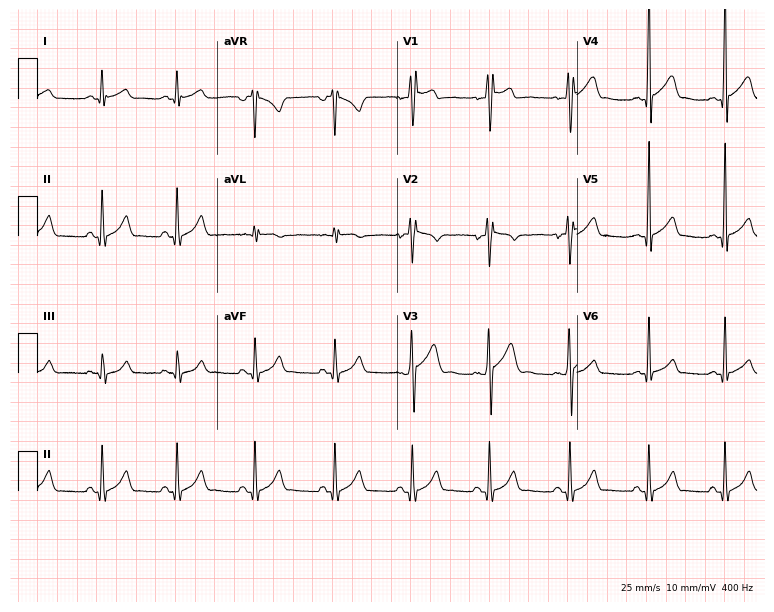
Standard 12-lead ECG recorded from a male patient, 17 years old (7.3-second recording at 400 Hz). Read as a normal ECG.